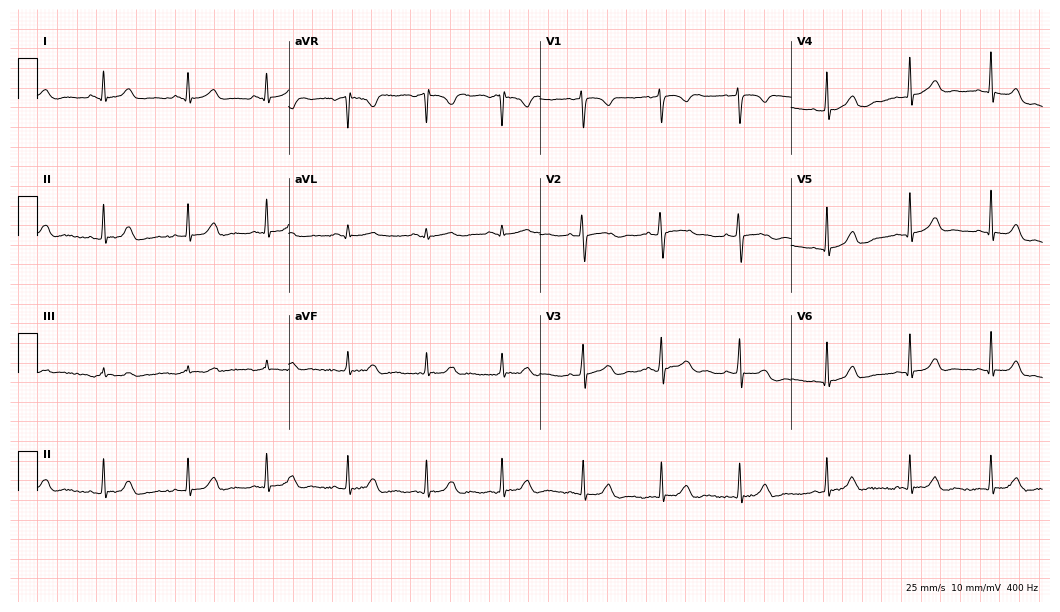
Resting 12-lead electrocardiogram (10.2-second recording at 400 Hz). Patient: a woman, 18 years old. None of these six findings is recorded: first-degree AV block, right bundle branch block, left bundle branch block, sinus bradycardia, atrial fibrillation, sinus tachycardia. Only these six findings were labelled.